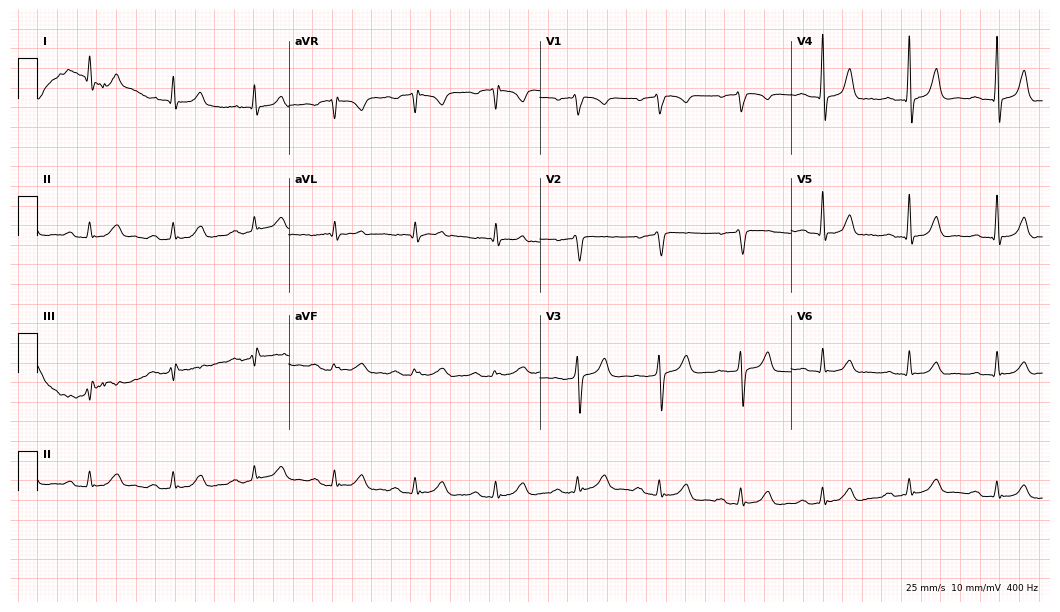
ECG (10.2-second recording at 400 Hz) — a female, 60 years old. Findings include first-degree AV block.